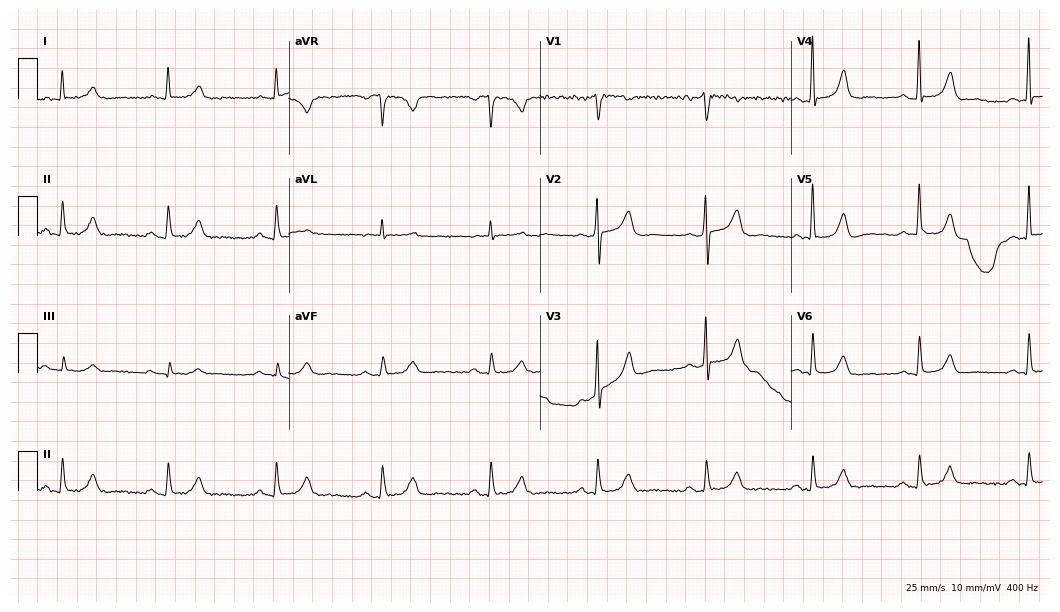
12-lead ECG (10.2-second recording at 400 Hz) from a male, 67 years old. Labelled as a normal ECG.